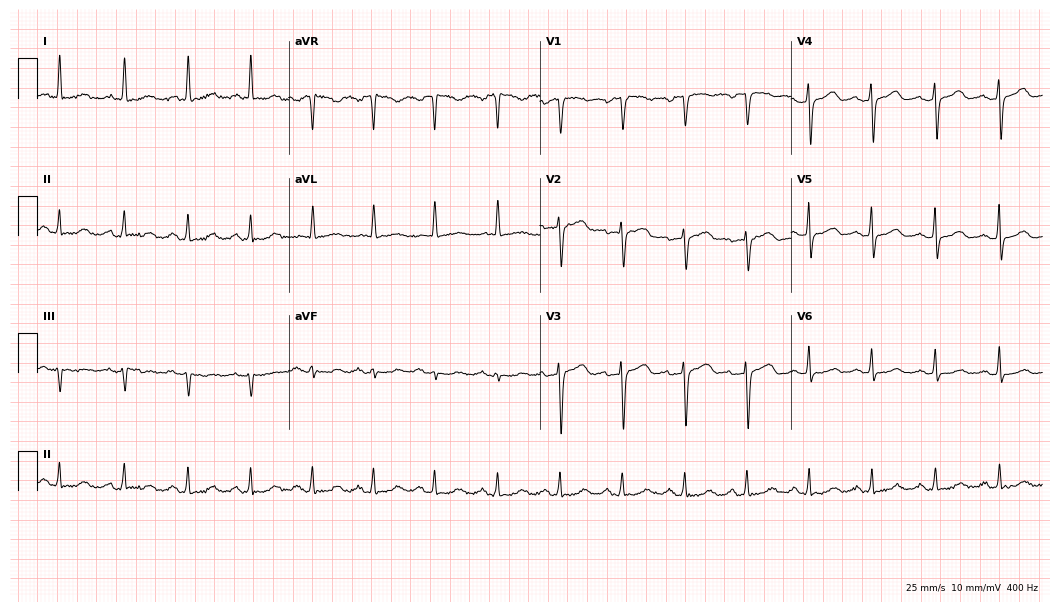
Electrocardiogram, a female, 59 years old. Of the six screened findings (first-degree AV block, right bundle branch block (RBBB), left bundle branch block (LBBB), sinus bradycardia, atrial fibrillation (AF), sinus tachycardia), none is recorded.